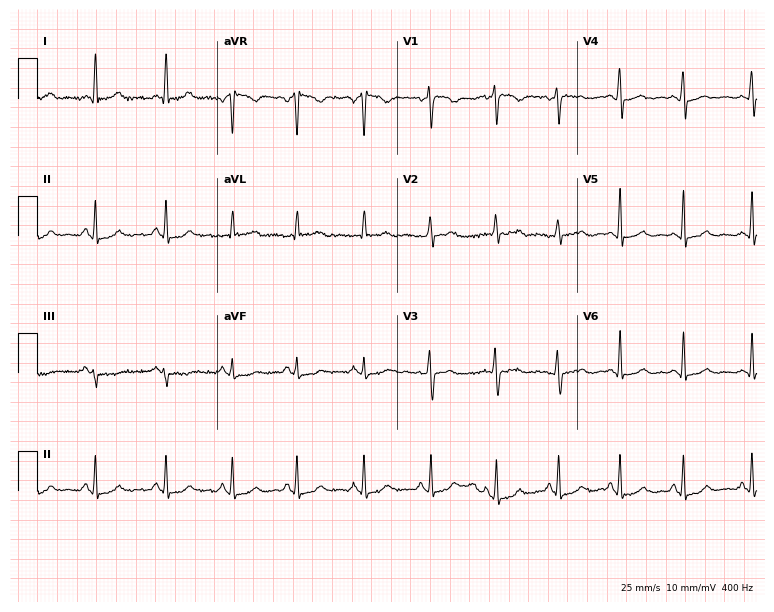
Resting 12-lead electrocardiogram. Patient: a 38-year-old female. Read as a normal ECG.